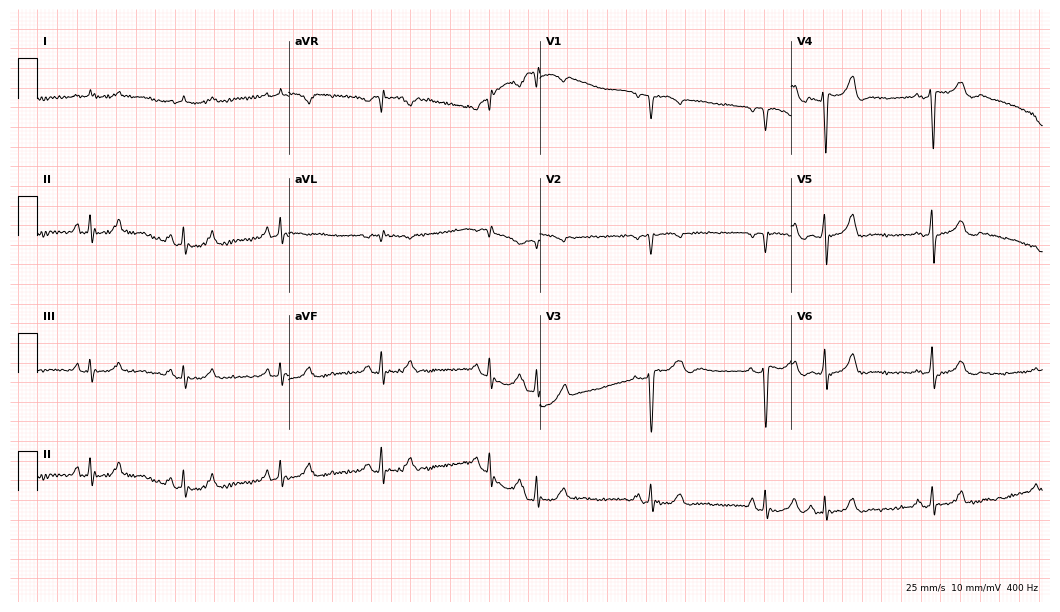
12-lead ECG from an 82-year-old male. Screened for six findings — first-degree AV block, right bundle branch block, left bundle branch block, sinus bradycardia, atrial fibrillation, sinus tachycardia — none is recorded. Only these six findings were labelled.